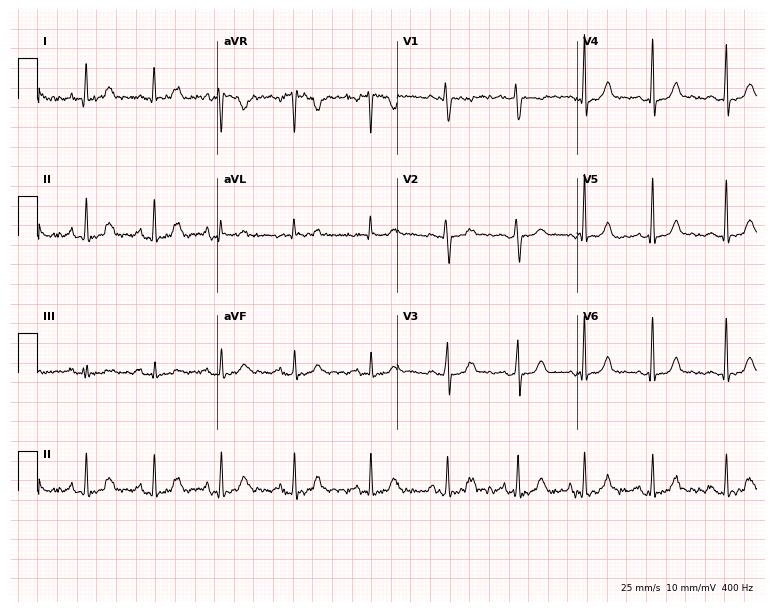
Resting 12-lead electrocardiogram. Patient: a 38-year-old woman. None of these six findings is recorded: first-degree AV block, right bundle branch block (RBBB), left bundle branch block (LBBB), sinus bradycardia, atrial fibrillation (AF), sinus tachycardia. Findings outside these six are not listed.